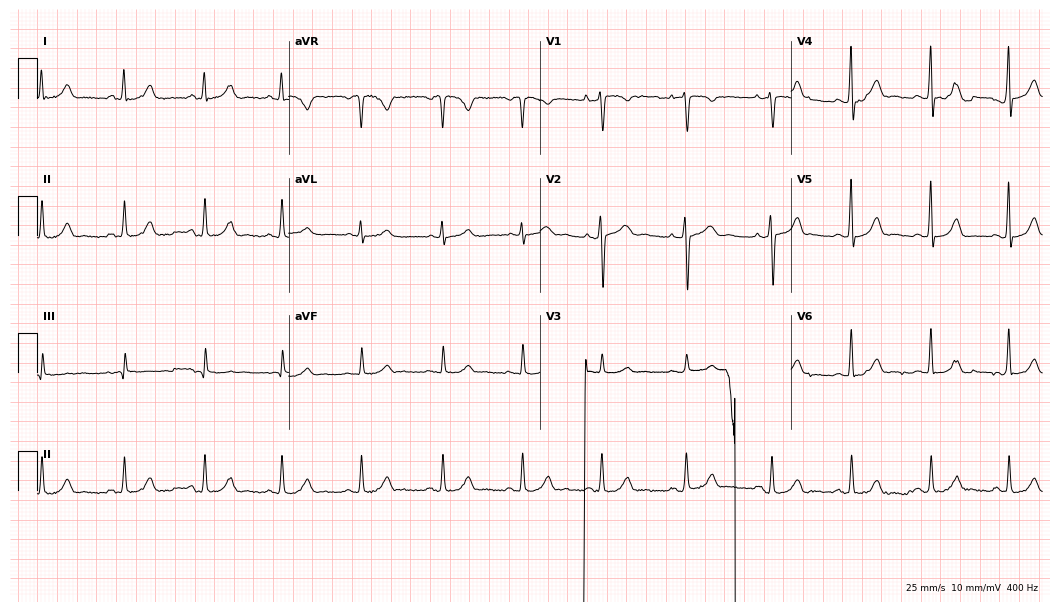
12-lead ECG from a female patient, 29 years old (10.2-second recording at 400 Hz). No first-degree AV block, right bundle branch block (RBBB), left bundle branch block (LBBB), sinus bradycardia, atrial fibrillation (AF) or sinus tachycardia recorded for this tracing.